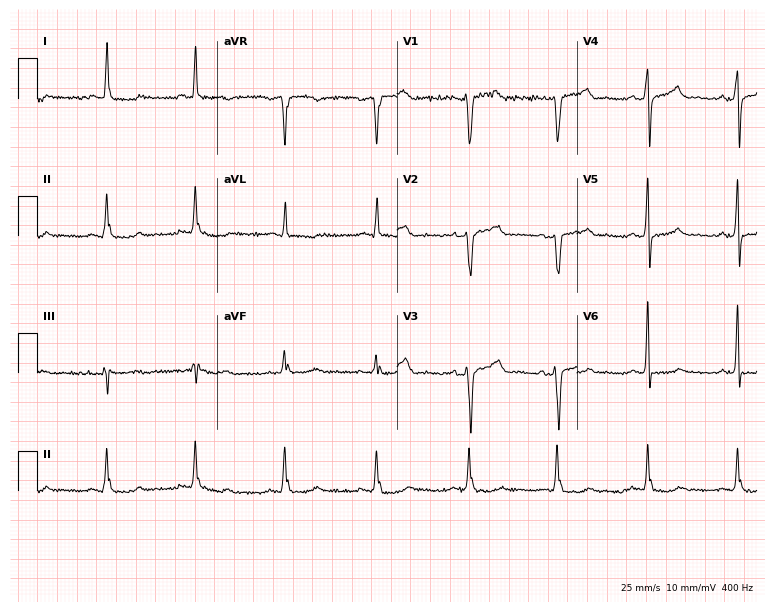
Electrocardiogram, a 55-year-old male. Of the six screened findings (first-degree AV block, right bundle branch block, left bundle branch block, sinus bradycardia, atrial fibrillation, sinus tachycardia), none is recorded. Only these six findings were labelled.